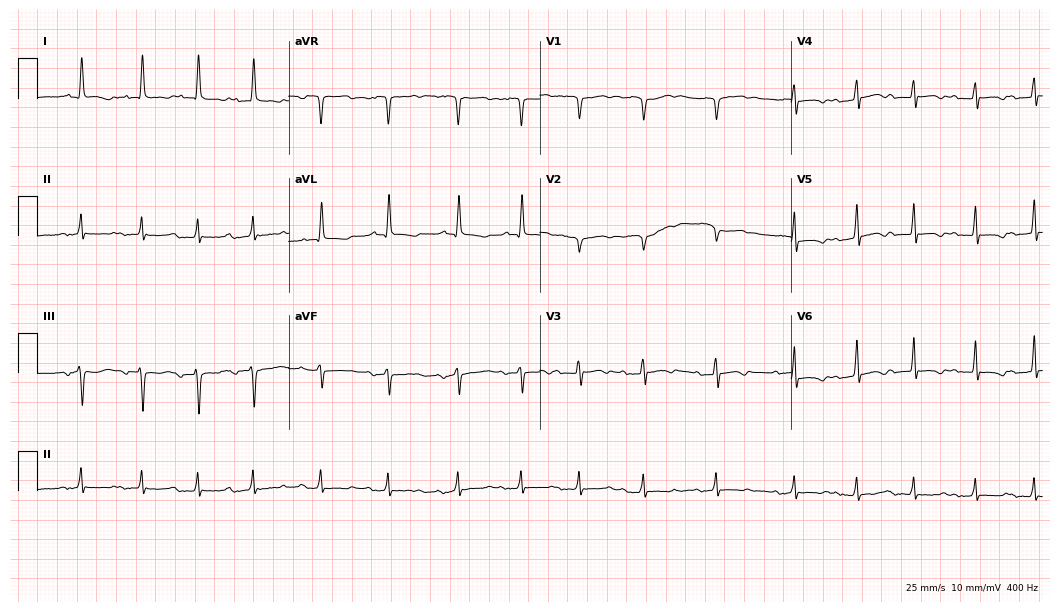
Standard 12-lead ECG recorded from a woman, 35 years old (10.2-second recording at 400 Hz). None of these six findings is recorded: first-degree AV block, right bundle branch block, left bundle branch block, sinus bradycardia, atrial fibrillation, sinus tachycardia.